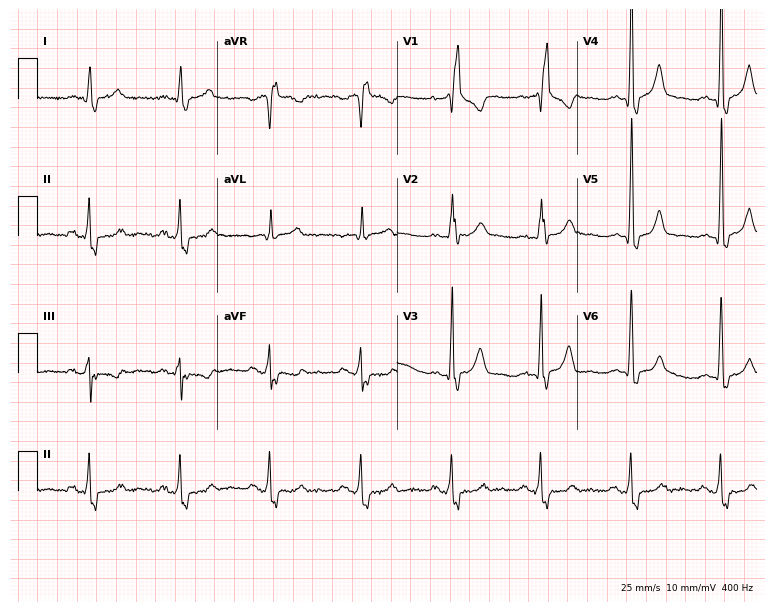
ECG — a 49-year-old male patient. Findings include right bundle branch block (RBBB).